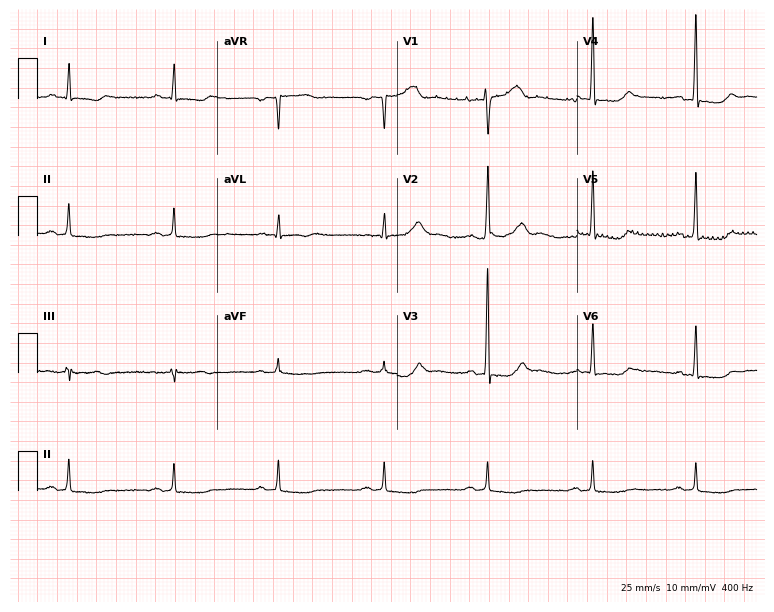
ECG — a 65-year-old male patient. Screened for six findings — first-degree AV block, right bundle branch block (RBBB), left bundle branch block (LBBB), sinus bradycardia, atrial fibrillation (AF), sinus tachycardia — none is recorded. Findings outside these six are not listed.